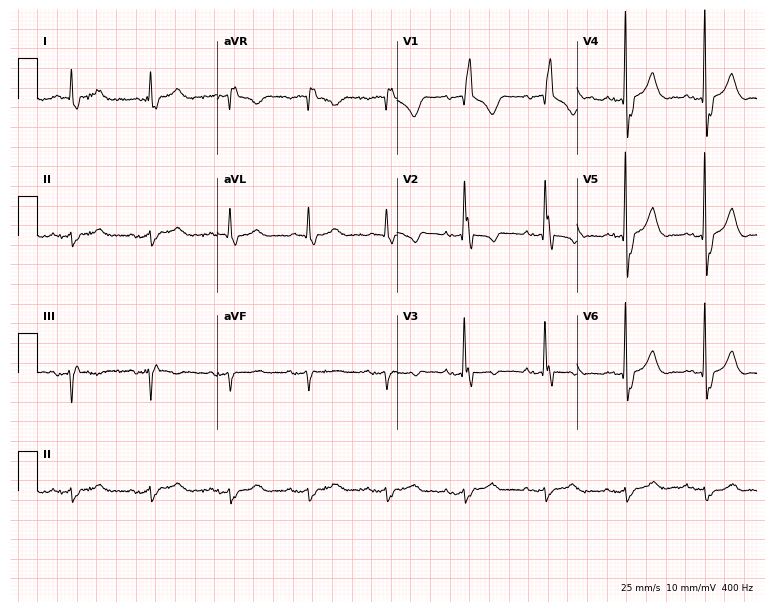
Standard 12-lead ECG recorded from an 83-year-old male. The tracing shows right bundle branch block.